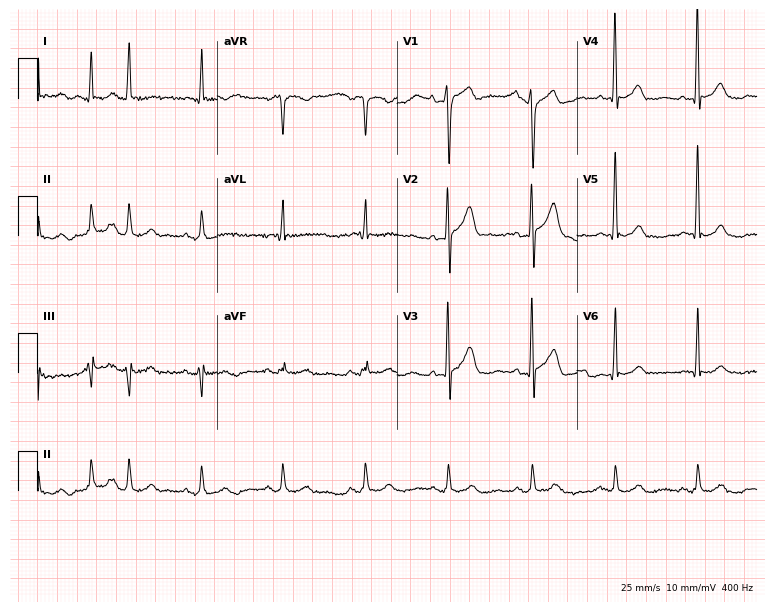
Electrocardiogram, a male, 74 years old. Of the six screened findings (first-degree AV block, right bundle branch block (RBBB), left bundle branch block (LBBB), sinus bradycardia, atrial fibrillation (AF), sinus tachycardia), none is recorded. Other findings, if any, are not listed.